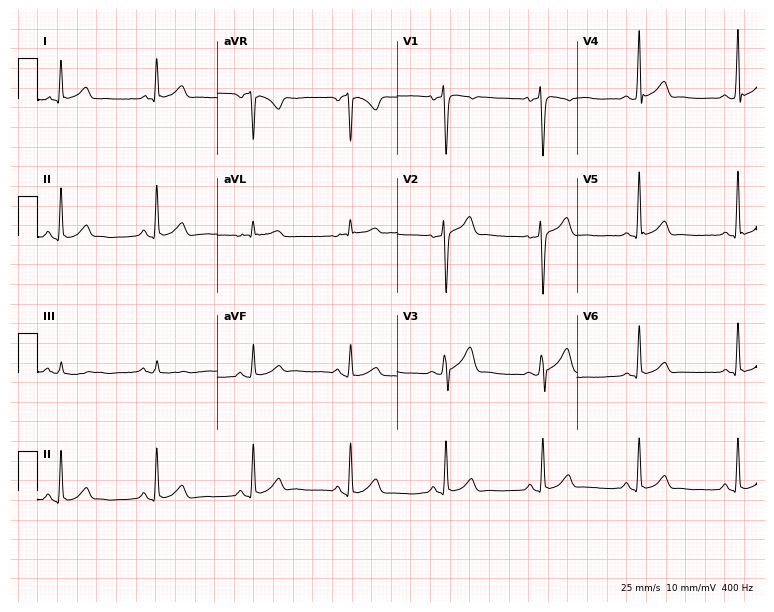
ECG — a male, 31 years old. Screened for six findings — first-degree AV block, right bundle branch block, left bundle branch block, sinus bradycardia, atrial fibrillation, sinus tachycardia — none is recorded. Findings outside these six are not listed.